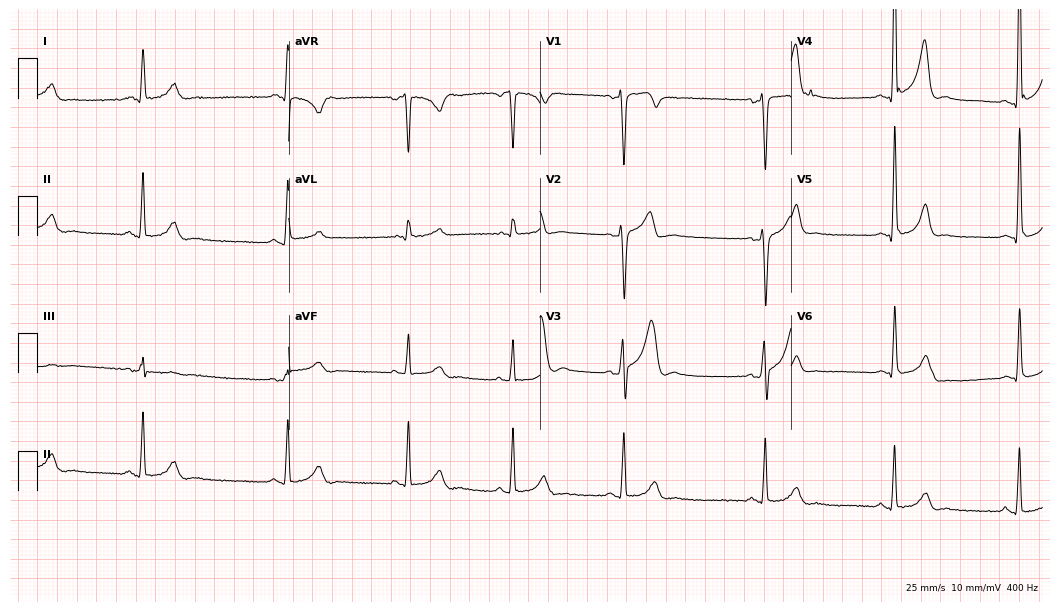
Standard 12-lead ECG recorded from a 36-year-old man (10.2-second recording at 400 Hz). Read as a normal ECG.